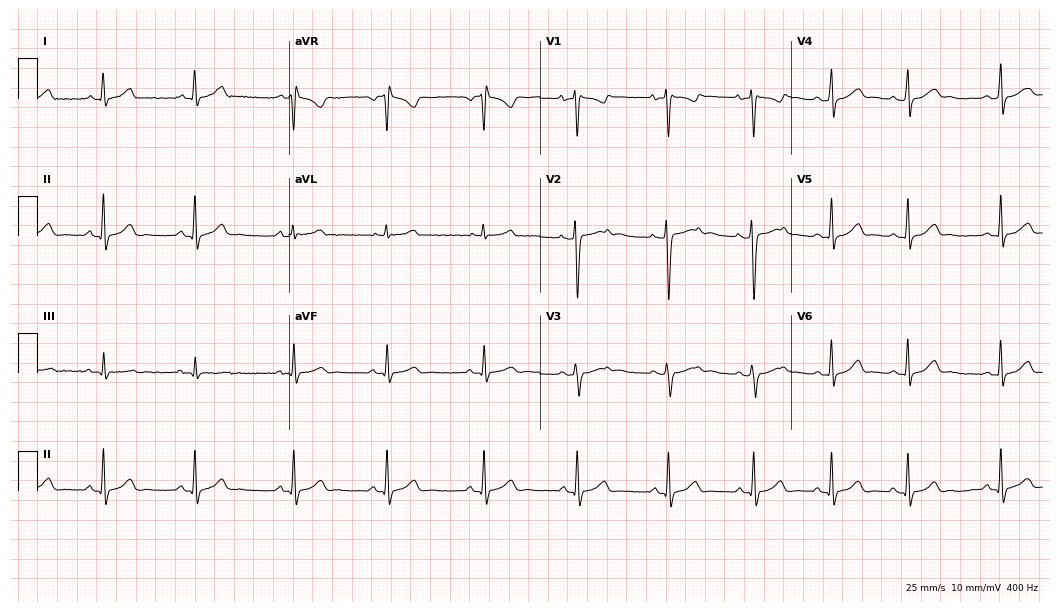
Resting 12-lead electrocardiogram (10.2-second recording at 400 Hz). Patient: a 25-year-old female. Read as a normal ECG.